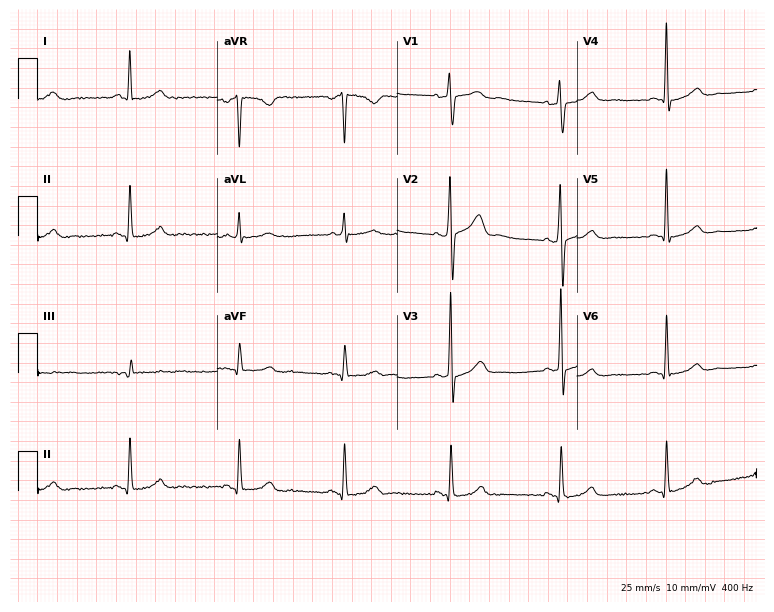
ECG (7.3-second recording at 400 Hz) — a female, 43 years old. Screened for six findings — first-degree AV block, right bundle branch block, left bundle branch block, sinus bradycardia, atrial fibrillation, sinus tachycardia — none is recorded.